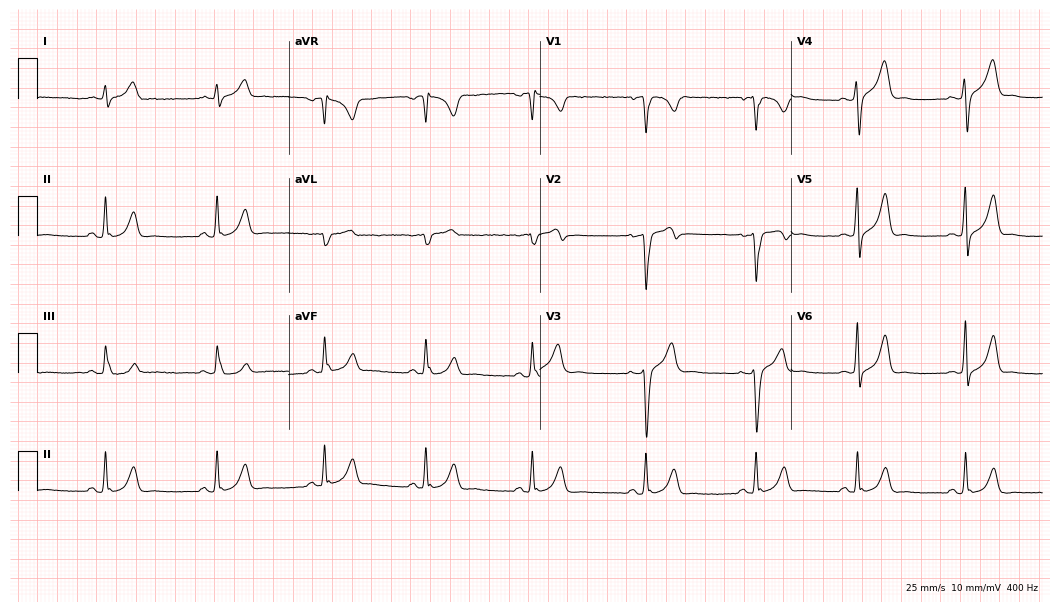
12-lead ECG from a 29-year-old man (10.2-second recording at 400 Hz). No first-degree AV block, right bundle branch block, left bundle branch block, sinus bradycardia, atrial fibrillation or sinus tachycardia recorded for this tracing.